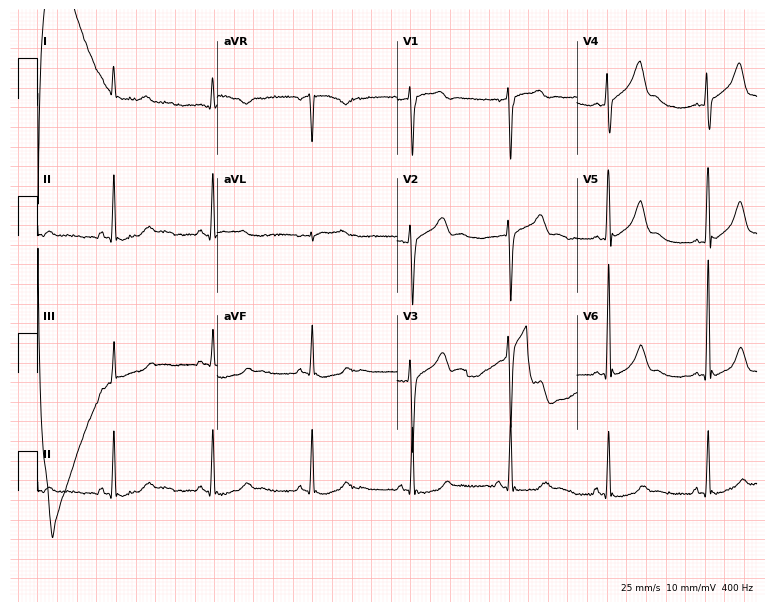
12-lead ECG from a male, 47 years old (7.3-second recording at 400 Hz). No first-degree AV block, right bundle branch block, left bundle branch block, sinus bradycardia, atrial fibrillation or sinus tachycardia recorded for this tracing.